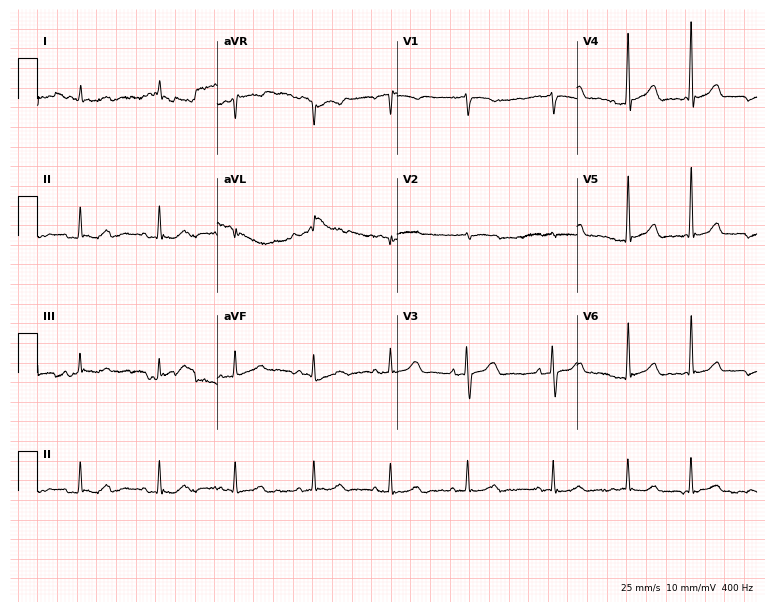
Resting 12-lead electrocardiogram. Patient: a female, 84 years old. None of these six findings is recorded: first-degree AV block, right bundle branch block (RBBB), left bundle branch block (LBBB), sinus bradycardia, atrial fibrillation (AF), sinus tachycardia. Only these six findings were labelled.